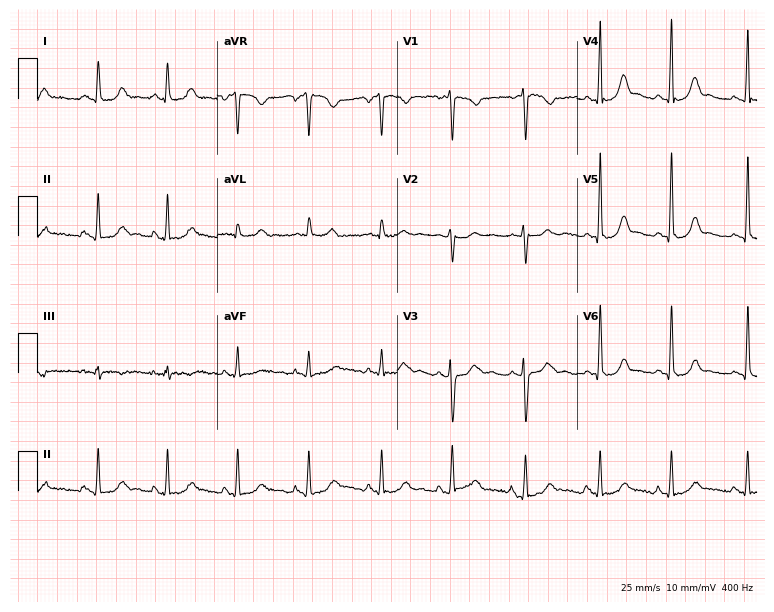
12-lead ECG from a female patient, 36 years old. Recorded interpretation: within normal limits.